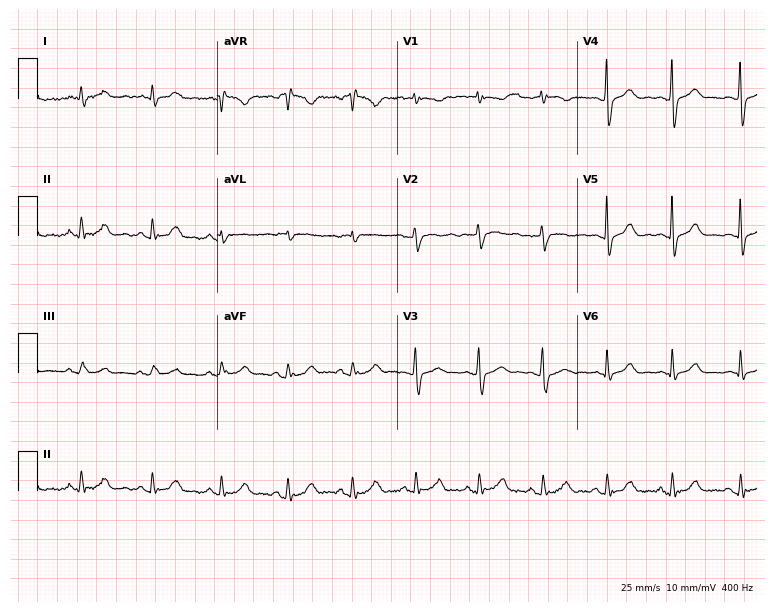
Electrocardiogram (7.3-second recording at 400 Hz), a man, 50 years old. Overall reading on record: normal ECG.